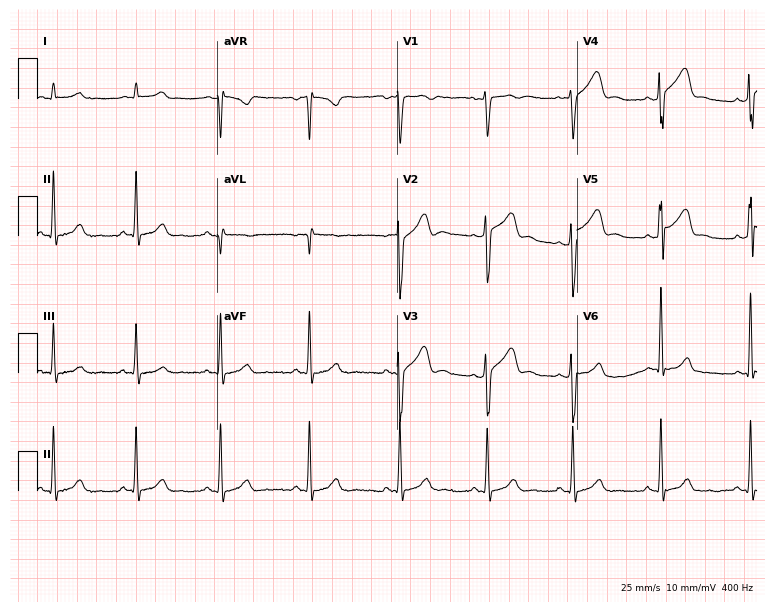
ECG (7.3-second recording at 400 Hz) — a male, 23 years old. Labelled as a normal ECG.